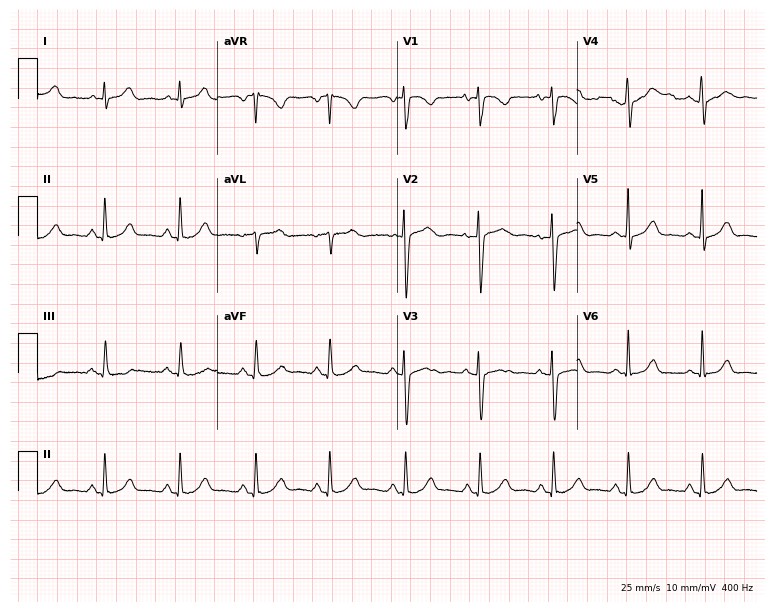
ECG (7.3-second recording at 400 Hz) — a 30-year-old woman. Screened for six findings — first-degree AV block, right bundle branch block, left bundle branch block, sinus bradycardia, atrial fibrillation, sinus tachycardia — none is recorded. Findings outside these six are not listed.